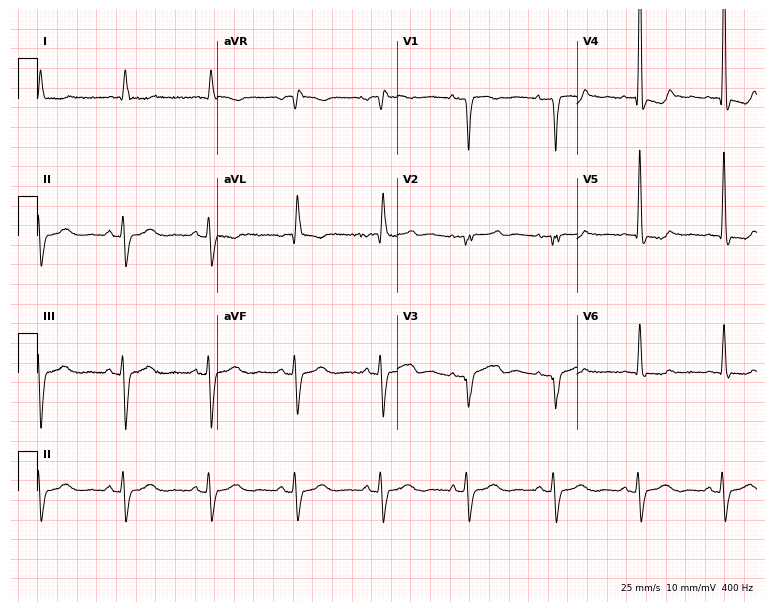
Standard 12-lead ECG recorded from a female, 71 years old (7.3-second recording at 400 Hz). None of these six findings is recorded: first-degree AV block, right bundle branch block (RBBB), left bundle branch block (LBBB), sinus bradycardia, atrial fibrillation (AF), sinus tachycardia.